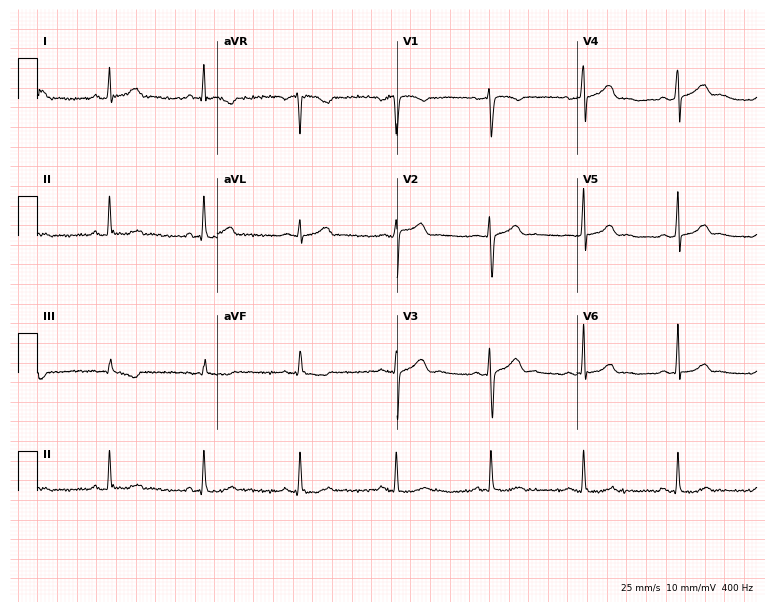
Standard 12-lead ECG recorded from a 38-year-old male. None of these six findings is recorded: first-degree AV block, right bundle branch block (RBBB), left bundle branch block (LBBB), sinus bradycardia, atrial fibrillation (AF), sinus tachycardia. Only these six findings were labelled.